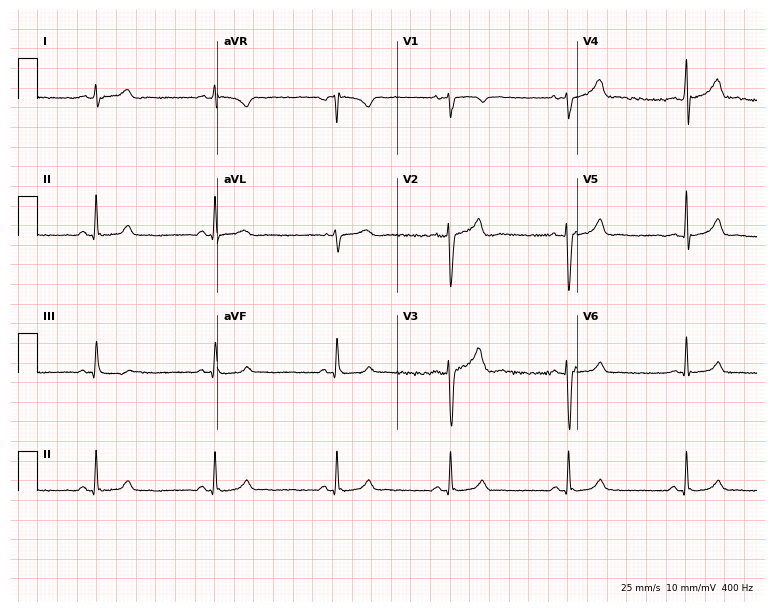
12-lead ECG from a 20-year-old man. Shows sinus bradycardia (a sinus rate of 50 beats per minute or less).